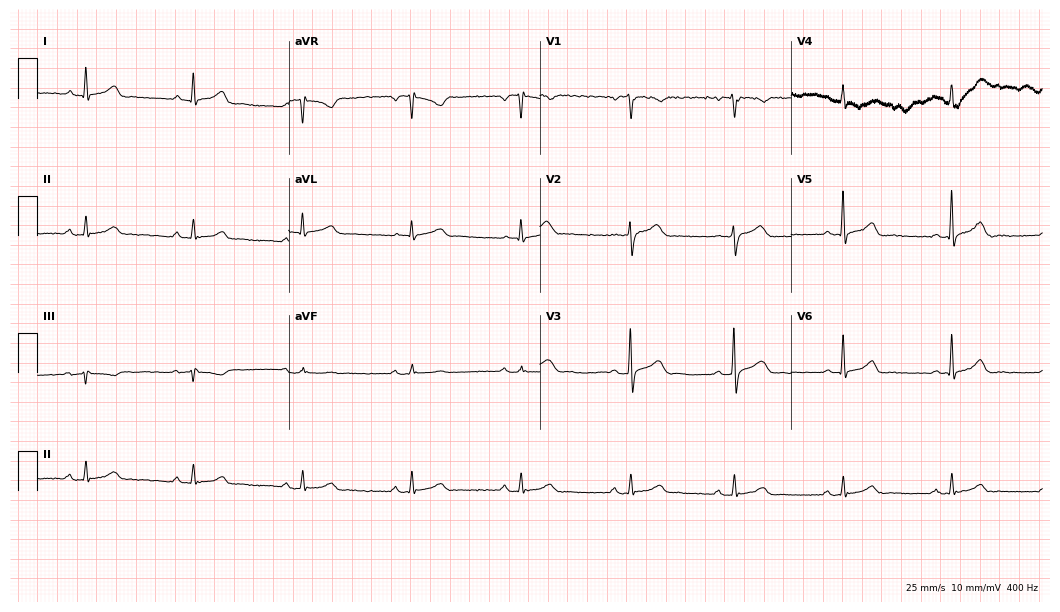
12-lead ECG from a 64-year-old man. Recorded interpretation: within normal limits.